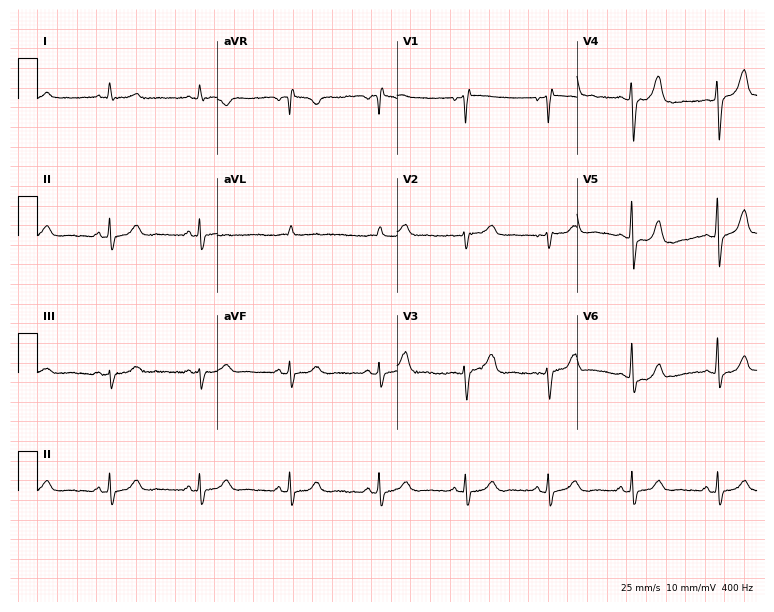
Resting 12-lead electrocardiogram (7.3-second recording at 400 Hz). Patient: a male, 48 years old. None of these six findings is recorded: first-degree AV block, right bundle branch block, left bundle branch block, sinus bradycardia, atrial fibrillation, sinus tachycardia. Only these six findings were labelled.